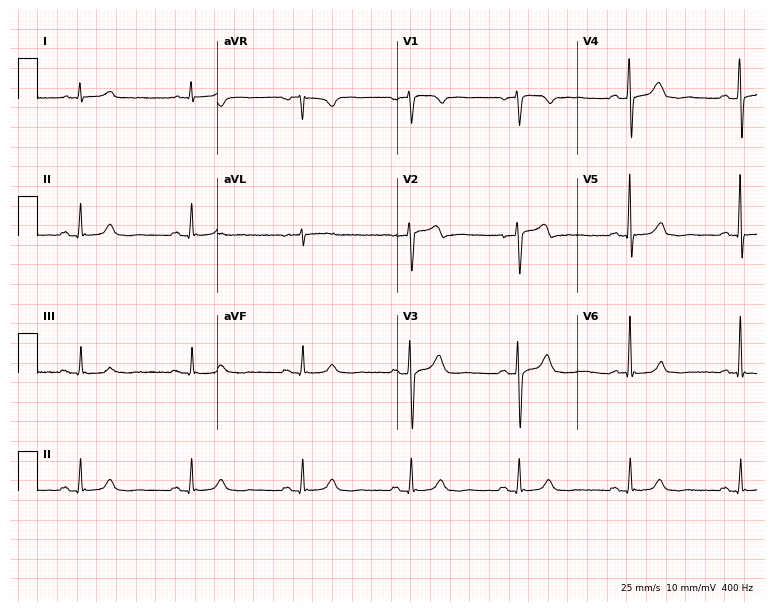
Standard 12-lead ECG recorded from a 56-year-old male patient (7.3-second recording at 400 Hz). None of these six findings is recorded: first-degree AV block, right bundle branch block, left bundle branch block, sinus bradycardia, atrial fibrillation, sinus tachycardia.